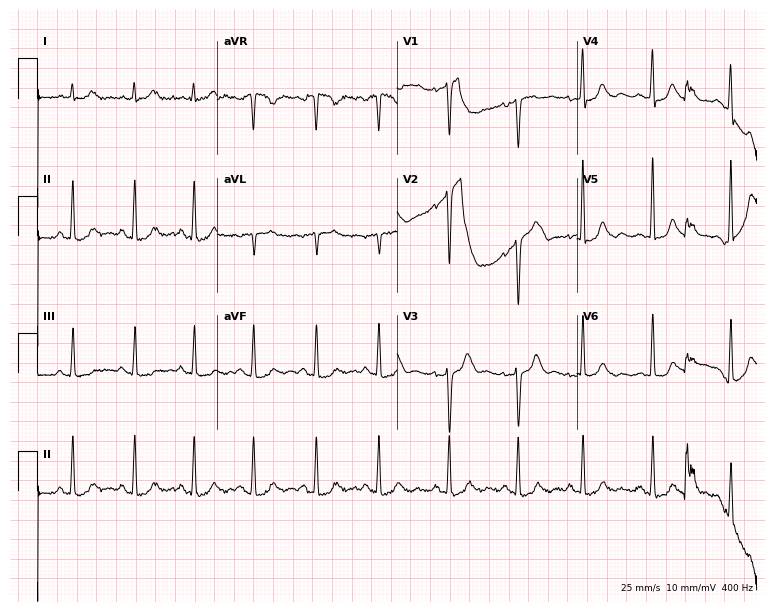
ECG — a female, 37 years old. Labelled as a normal ECG.